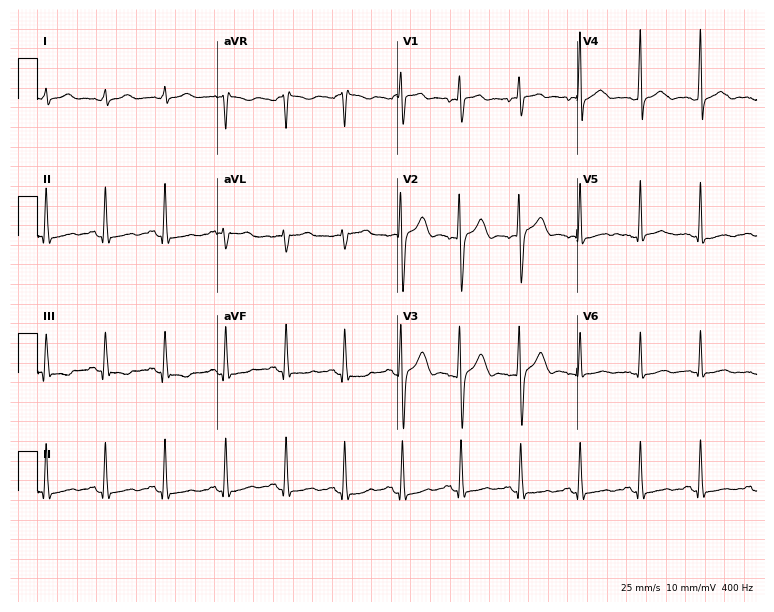
Electrocardiogram (7.3-second recording at 400 Hz), a 27-year-old man. Overall reading on record: normal ECG.